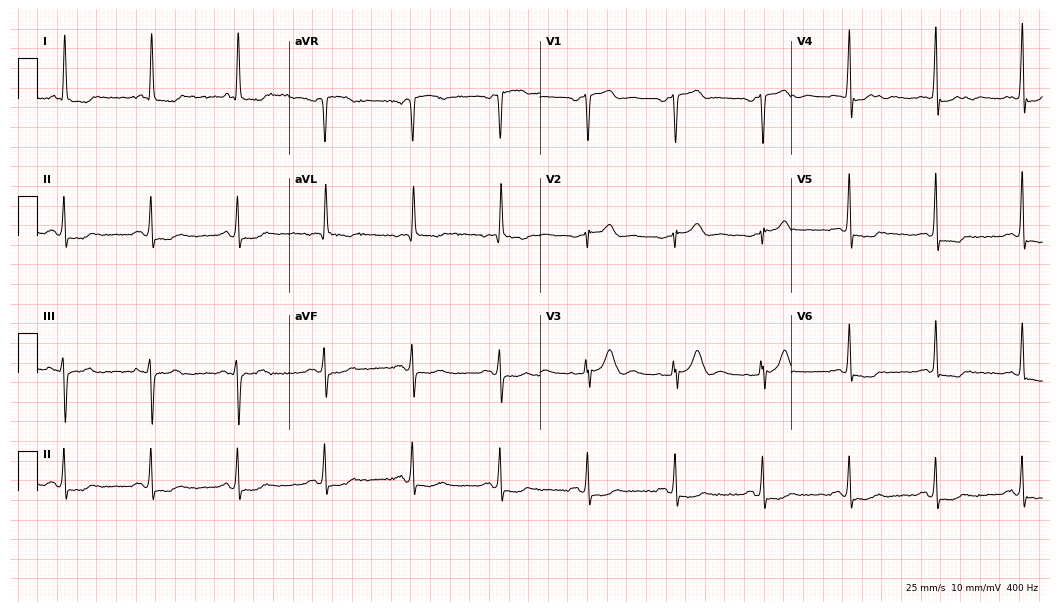
Resting 12-lead electrocardiogram. Patient: a male, 73 years old. None of these six findings is recorded: first-degree AV block, right bundle branch block (RBBB), left bundle branch block (LBBB), sinus bradycardia, atrial fibrillation (AF), sinus tachycardia.